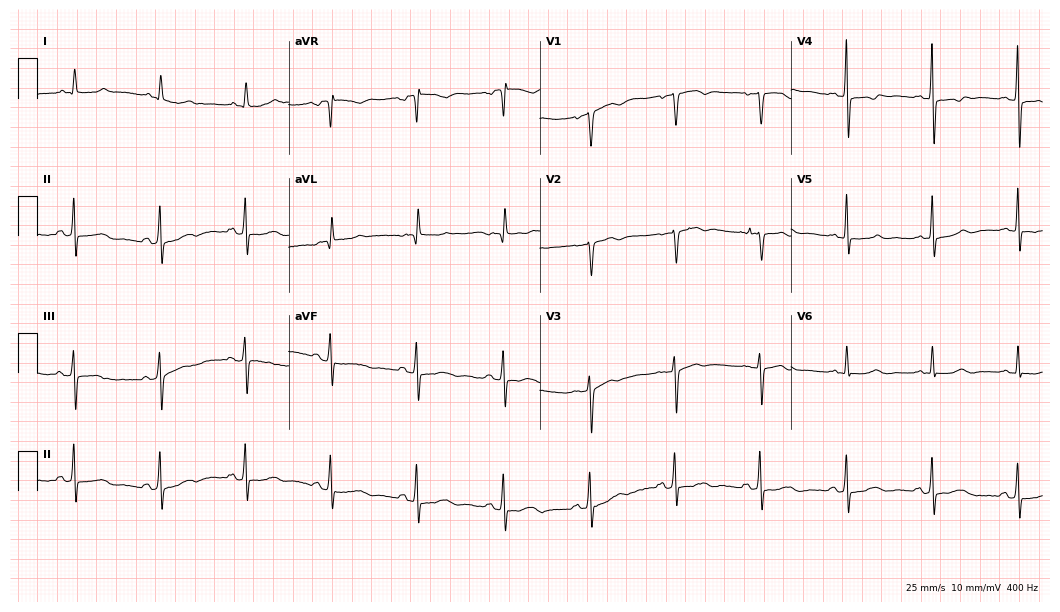
12-lead ECG from a 68-year-old woman (10.2-second recording at 400 Hz). Recorded interpretation: within normal limits.